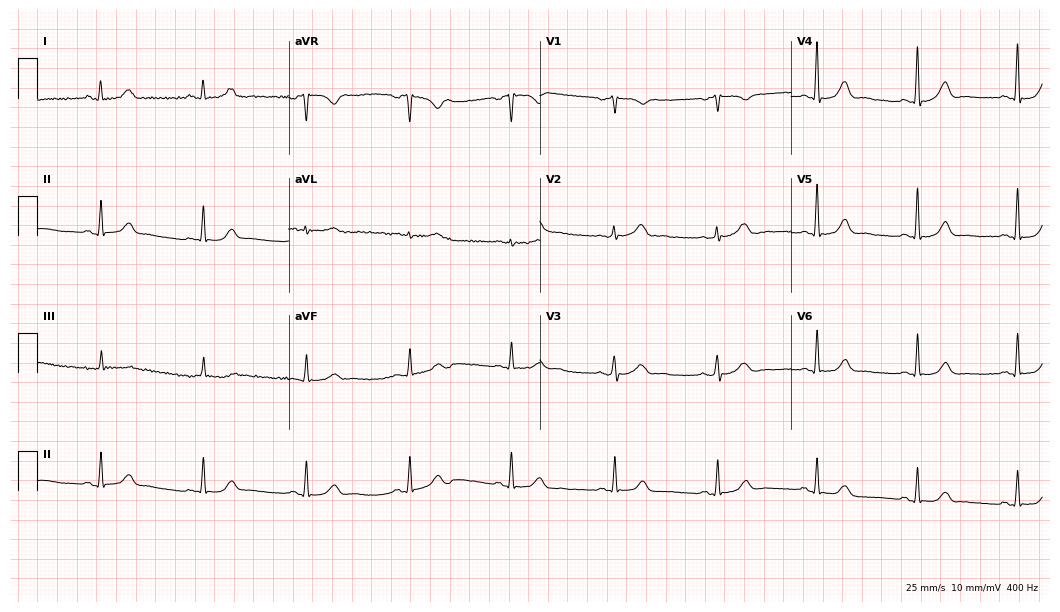
Resting 12-lead electrocardiogram. Patient: a female, 60 years old. Read as a normal ECG.